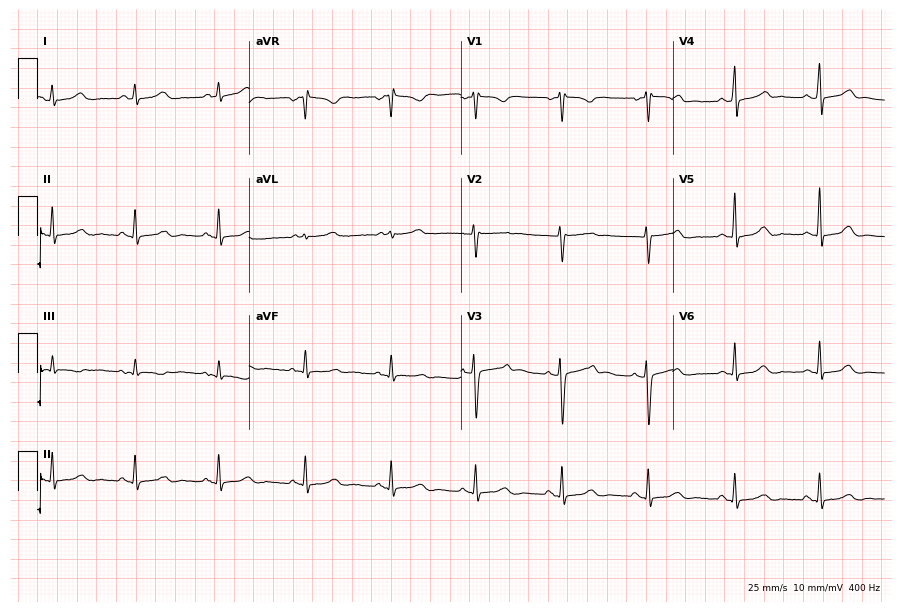
12-lead ECG (8.6-second recording at 400 Hz) from a 43-year-old female. Screened for six findings — first-degree AV block, right bundle branch block, left bundle branch block, sinus bradycardia, atrial fibrillation, sinus tachycardia — none is recorded.